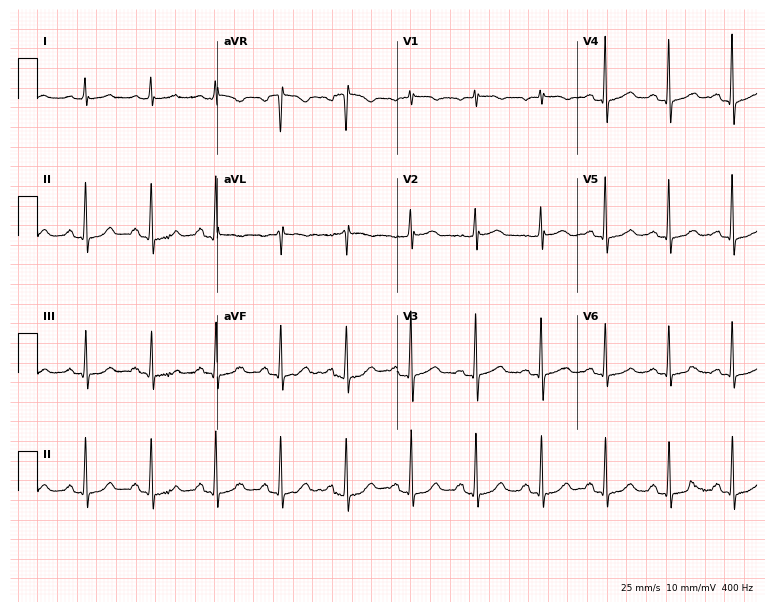
12-lead ECG from a 74-year-old female patient. Recorded interpretation: within normal limits.